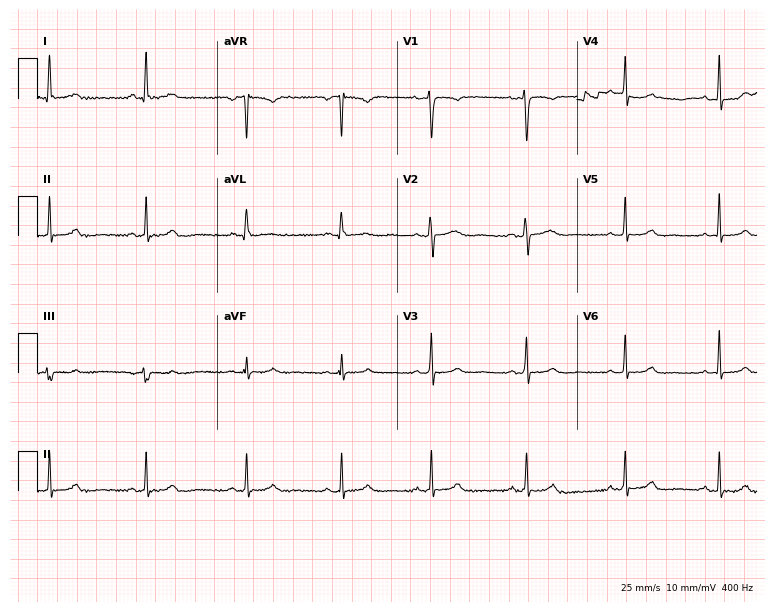
ECG (7.3-second recording at 400 Hz) — a woman, 34 years old. Labelled as a normal ECG.